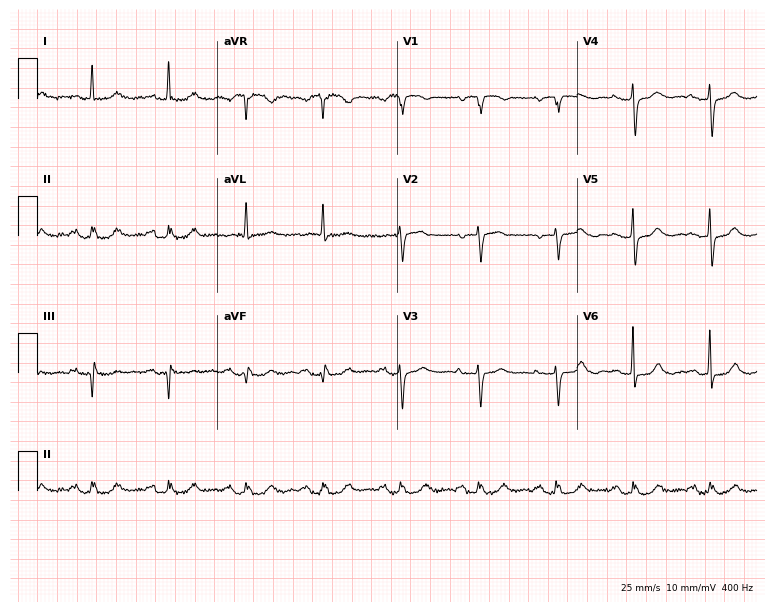
12-lead ECG from a female patient, 89 years old. Findings include first-degree AV block.